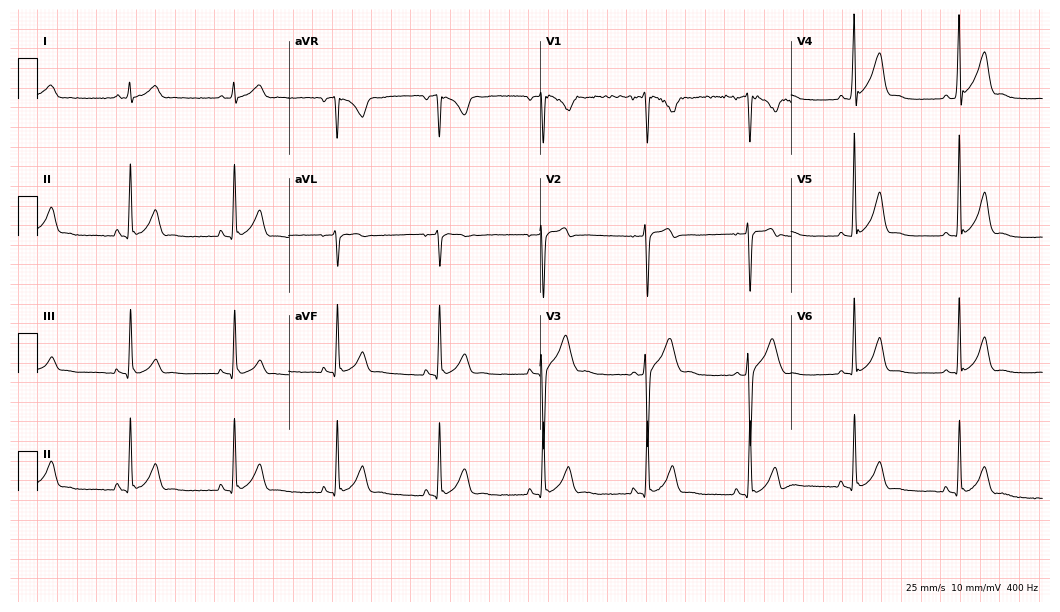
Electrocardiogram (10.2-second recording at 400 Hz), a 25-year-old male patient. Overall reading on record: normal ECG.